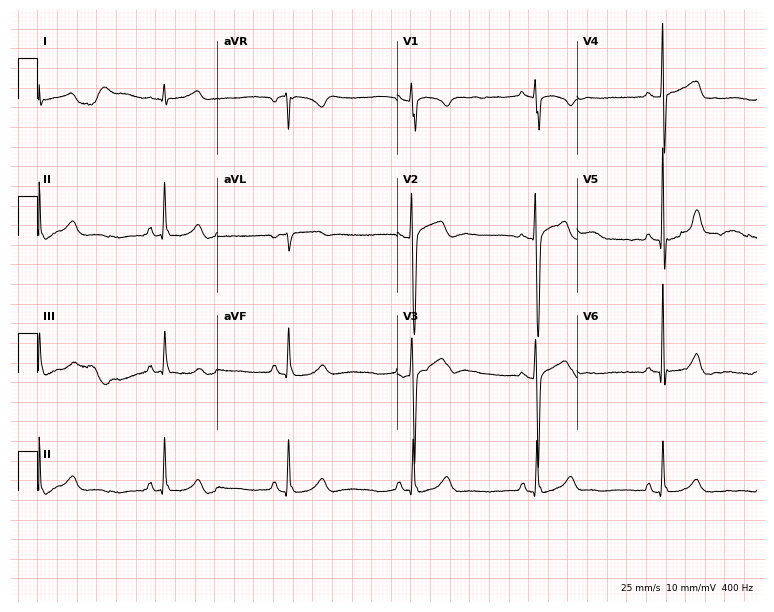
Resting 12-lead electrocardiogram. Patient: a male, 41 years old. The tracing shows sinus bradycardia (a sinus rate of 50 beats per minute or less).